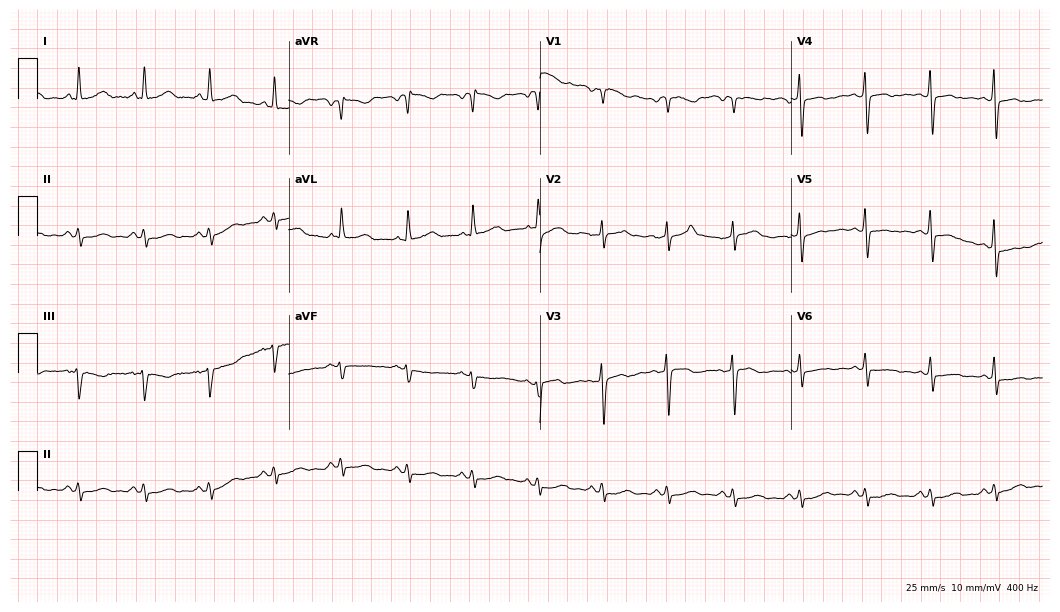
12-lead ECG from a 70-year-old woman. No first-degree AV block, right bundle branch block, left bundle branch block, sinus bradycardia, atrial fibrillation or sinus tachycardia recorded for this tracing.